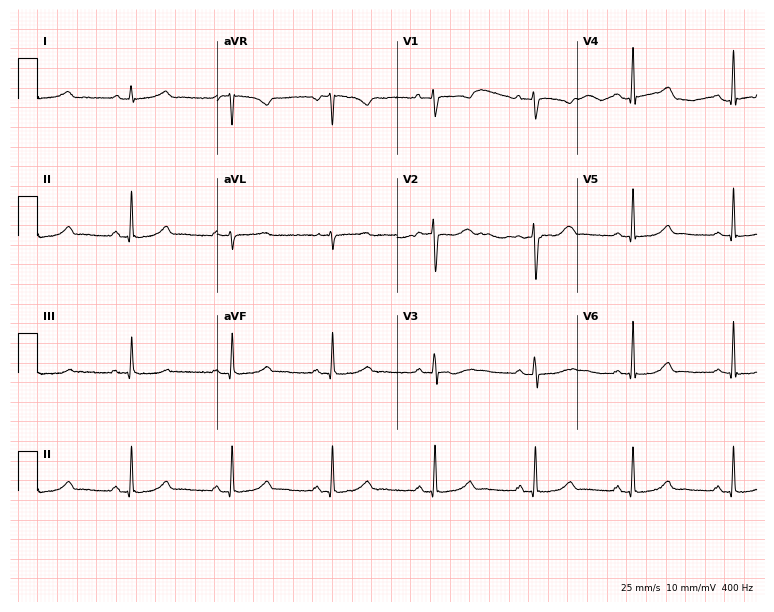
ECG — a 35-year-old female. Labelled as a normal ECG.